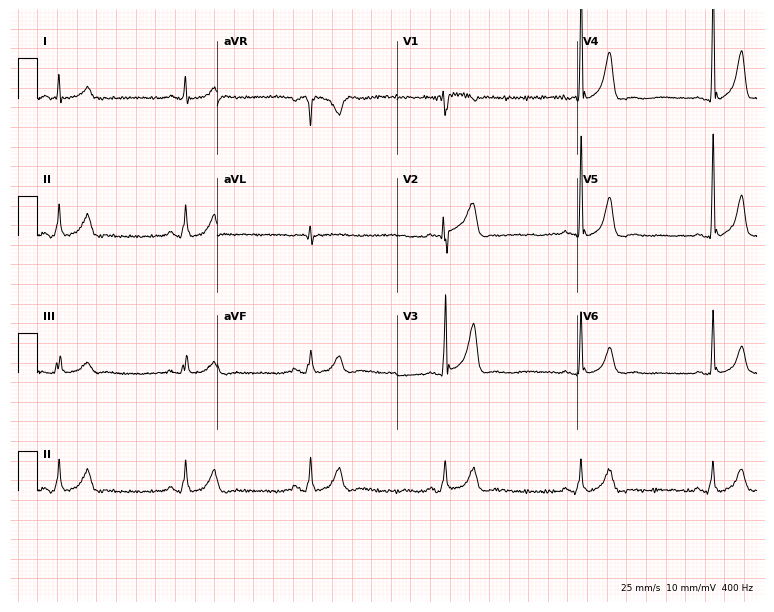
Standard 12-lead ECG recorded from a 47-year-old male (7.3-second recording at 400 Hz). The tracing shows sinus bradycardia (a sinus rate of 50 beats per minute or less).